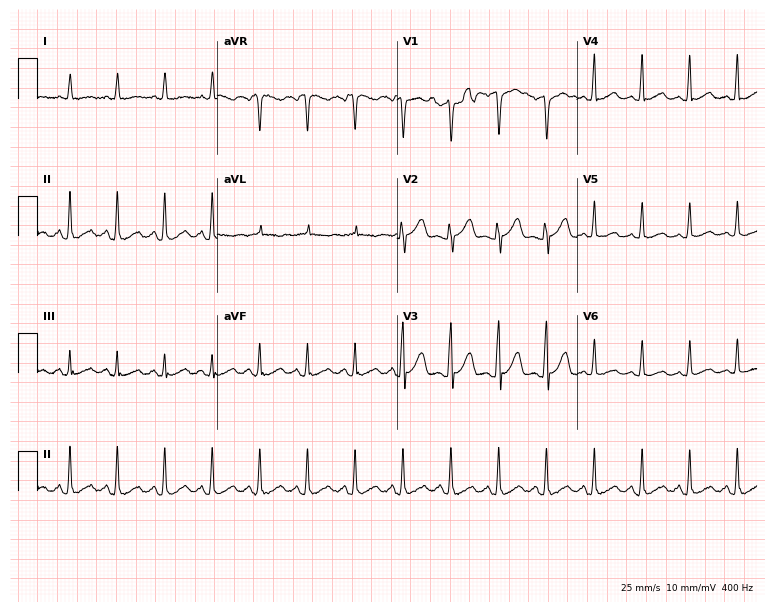
12-lead ECG from a female patient, 57 years old. Shows sinus tachycardia (a sinus rate of 100 beats per minute or more).